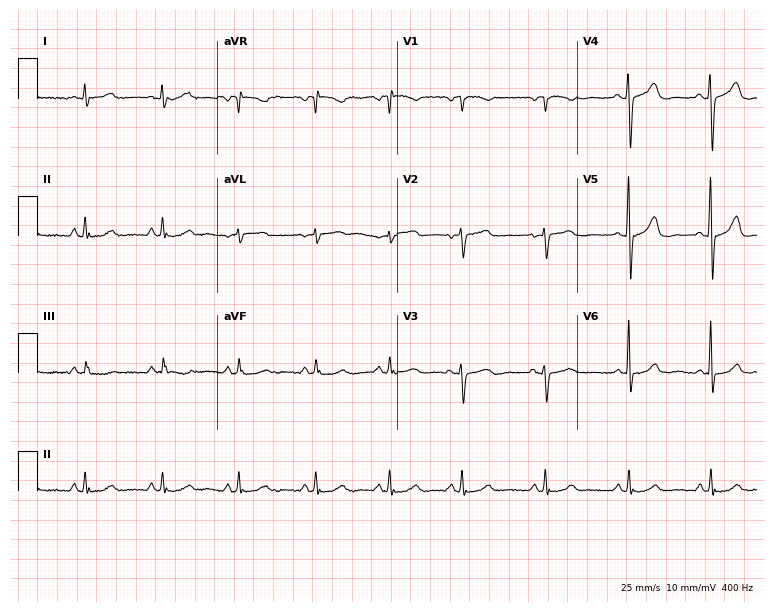
Resting 12-lead electrocardiogram (7.3-second recording at 400 Hz). Patient: a woman, 50 years old. Read as a normal ECG.